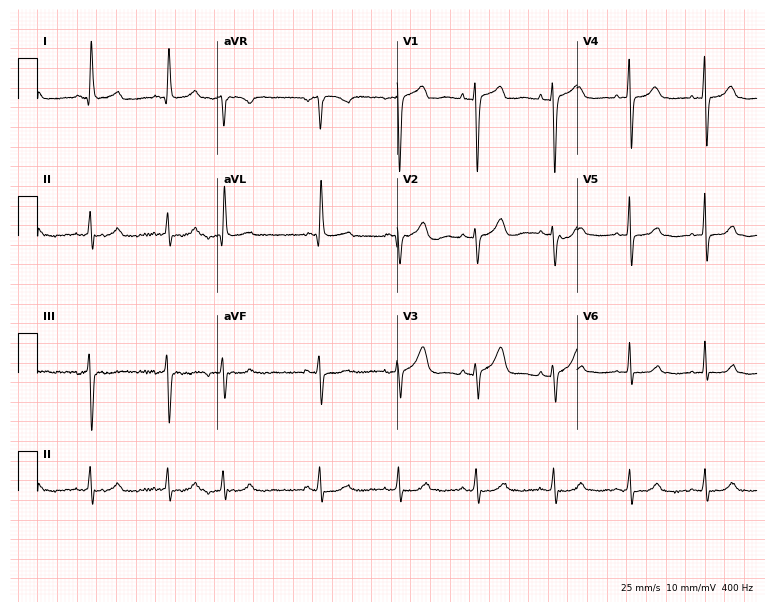
12-lead ECG from a 68-year-old woman. Labelled as a normal ECG.